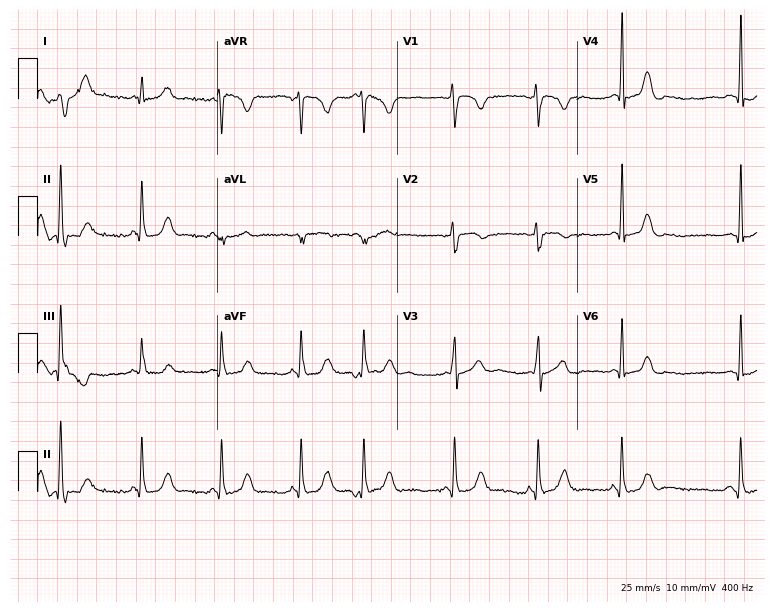
12-lead ECG from a 23-year-old female patient. Screened for six findings — first-degree AV block, right bundle branch block (RBBB), left bundle branch block (LBBB), sinus bradycardia, atrial fibrillation (AF), sinus tachycardia — none is recorded.